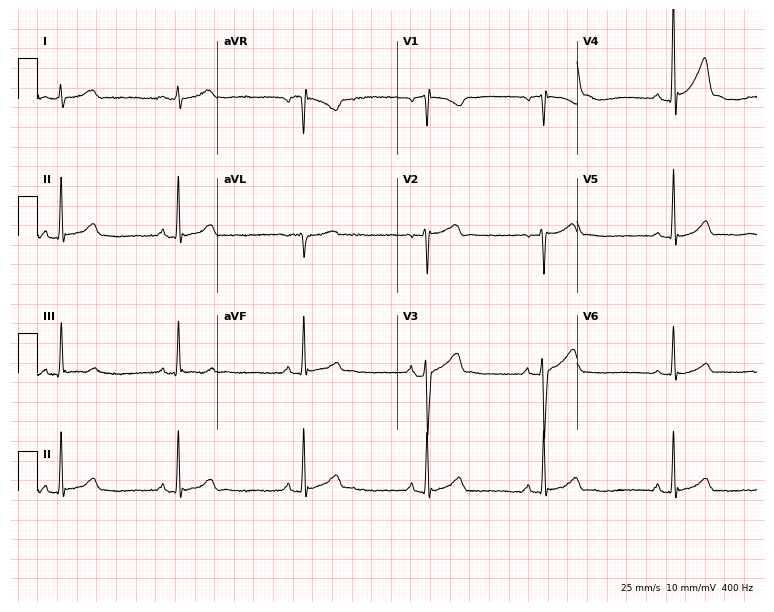
Electrocardiogram (7.3-second recording at 400 Hz), a male, 26 years old. Interpretation includes sinus bradycardia (a sinus rate of 50 beats per minute or less).